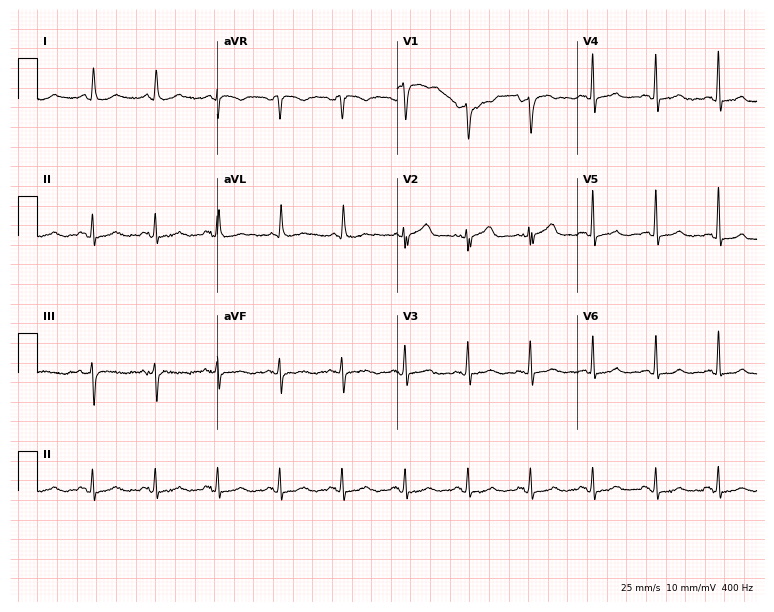
Electrocardiogram, a male patient, 80 years old. Overall reading on record: normal ECG.